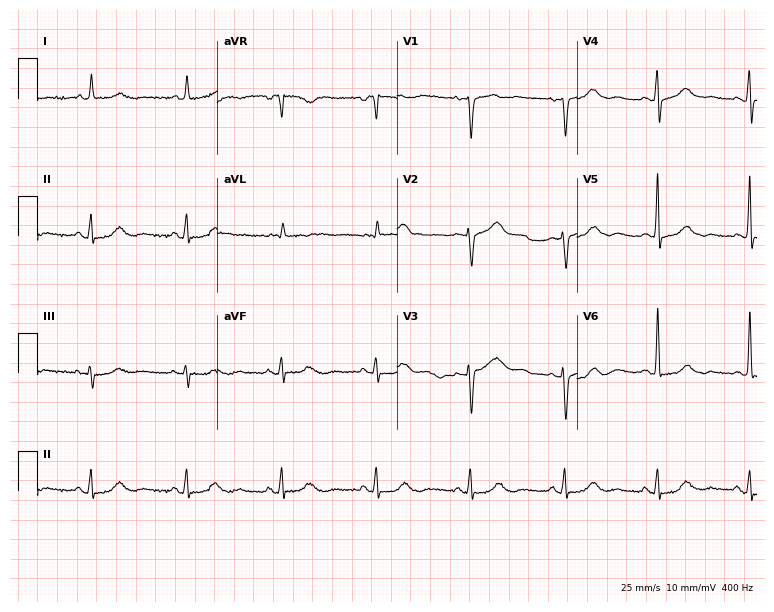
ECG (7.3-second recording at 400 Hz) — a female patient, 69 years old. Screened for six findings — first-degree AV block, right bundle branch block (RBBB), left bundle branch block (LBBB), sinus bradycardia, atrial fibrillation (AF), sinus tachycardia — none is recorded. Other findings, if any, are not listed.